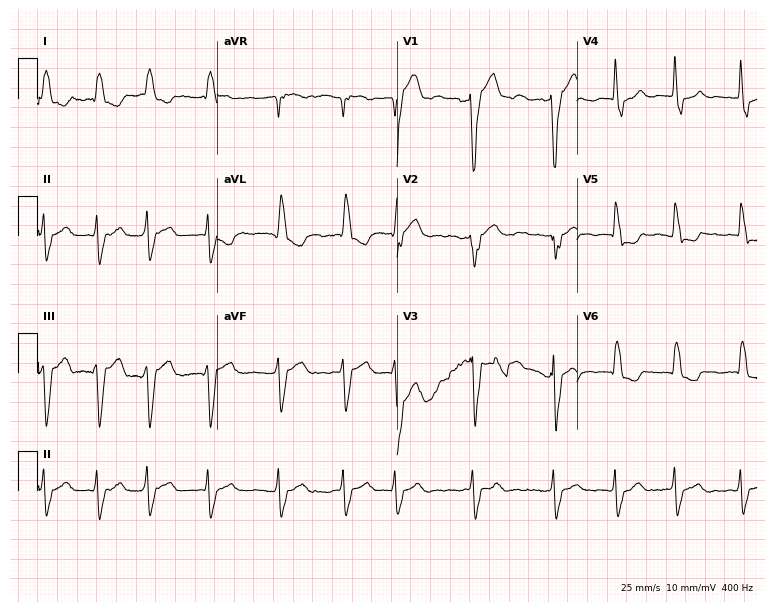
Resting 12-lead electrocardiogram. Patient: a 74-year-old male. The tracing shows left bundle branch block, atrial fibrillation.